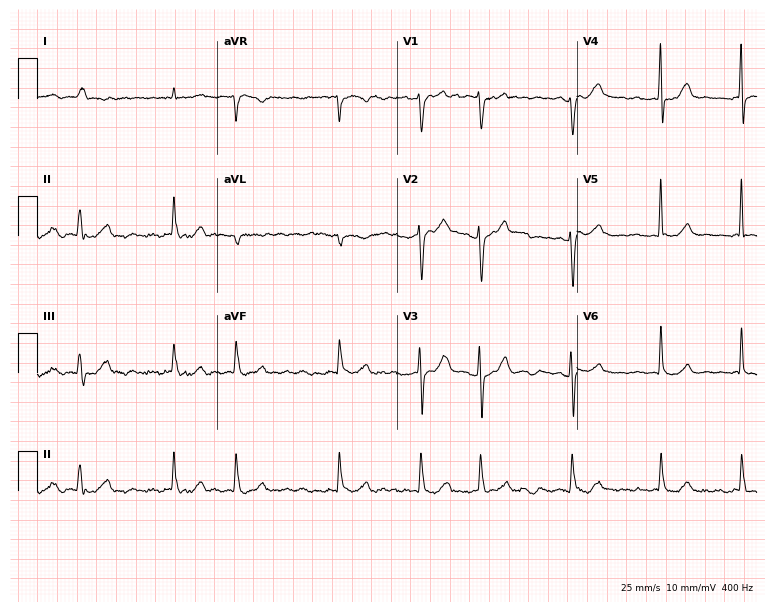
Resting 12-lead electrocardiogram (7.3-second recording at 400 Hz). Patient: a man, 81 years old. The tracing shows atrial fibrillation.